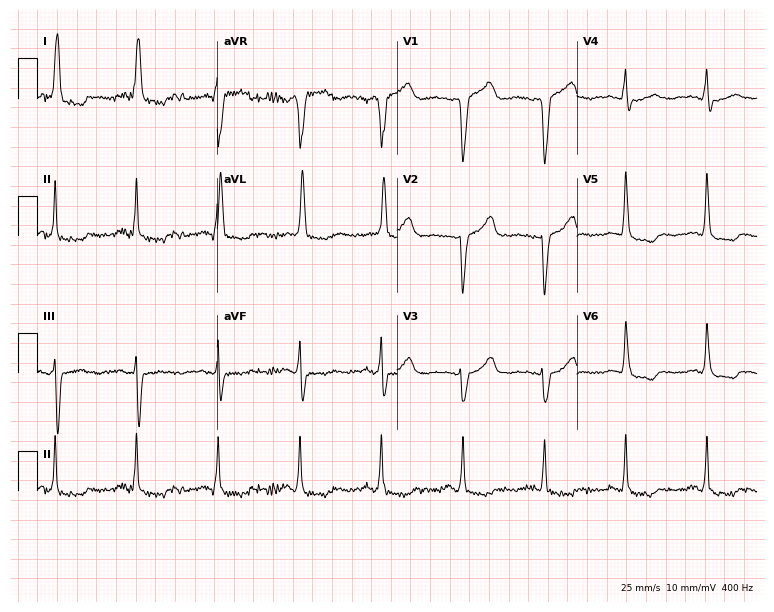
Electrocardiogram (7.3-second recording at 400 Hz), a 78-year-old female. Of the six screened findings (first-degree AV block, right bundle branch block (RBBB), left bundle branch block (LBBB), sinus bradycardia, atrial fibrillation (AF), sinus tachycardia), none is recorded. Findings outside these six are not listed.